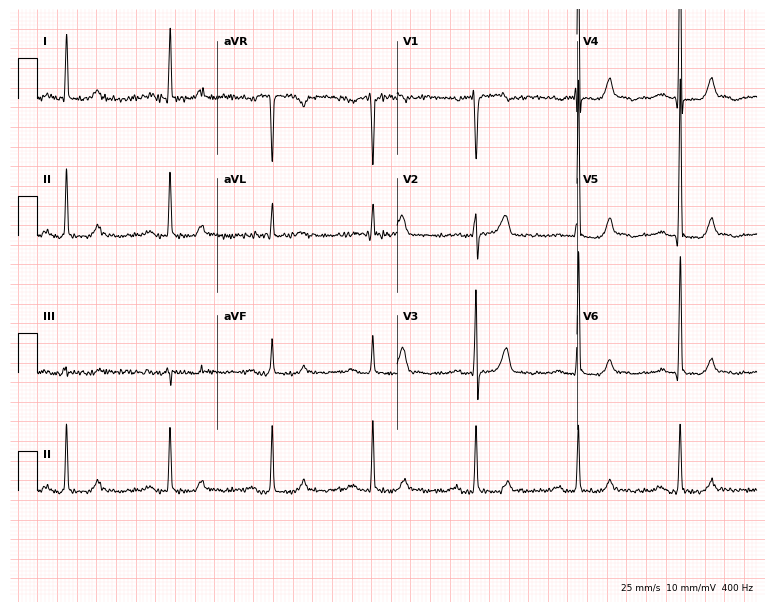
Electrocardiogram, a 75-year-old female patient. Interpretation includes first-degree AV block.